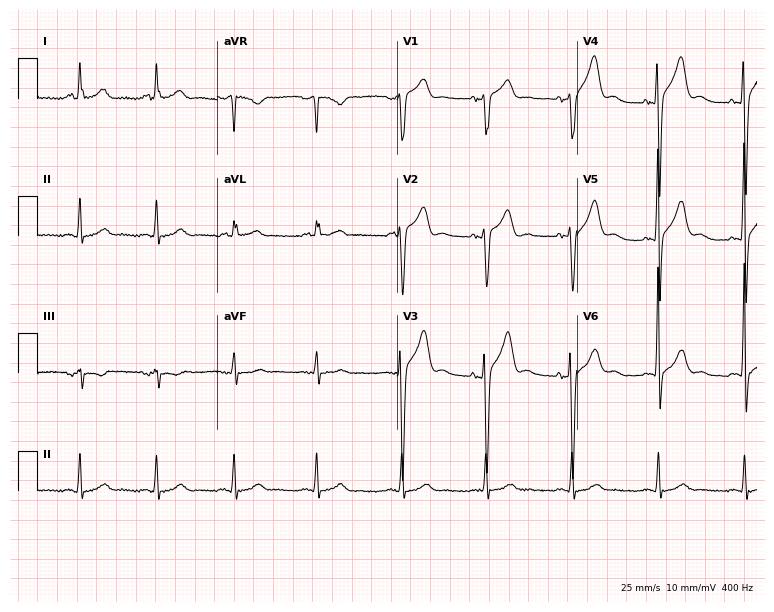
Standard 12-lead ECG recorded from a male patient, 53 years old (7.3-second recording at 400 Hz). None of these six findings is recorded: first-degree AV block, right bundle branch block (RBBB), left bundle branch block (LBBB), sinus bradycardia, atrial fibrillation (AF), sinus tachycardia.